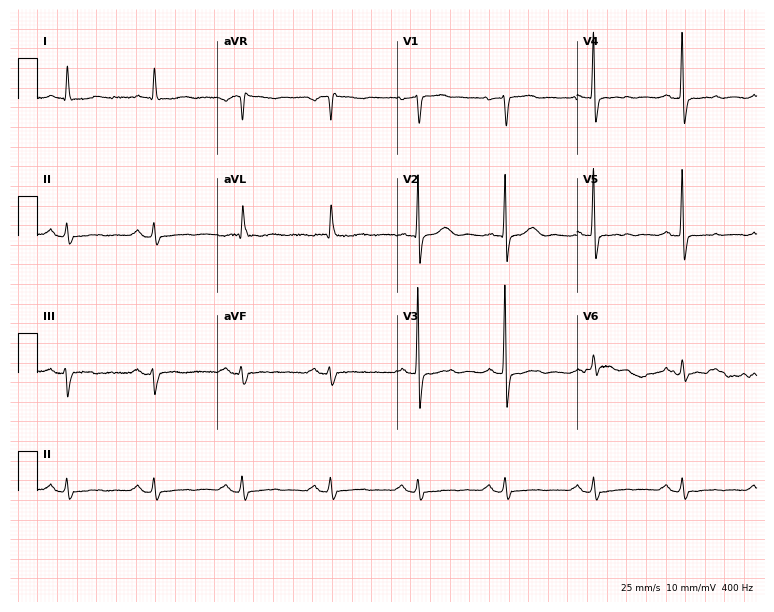
Electrocardiogram (7.3-second recording at 400 Hz), a woman, 76 years old. Of the six screened findings (first-degree AV block, right bundle branch block, left bundle branch block, sinus bradycardia, atrial fibrillation, sinus tachycardia), none is recorded.